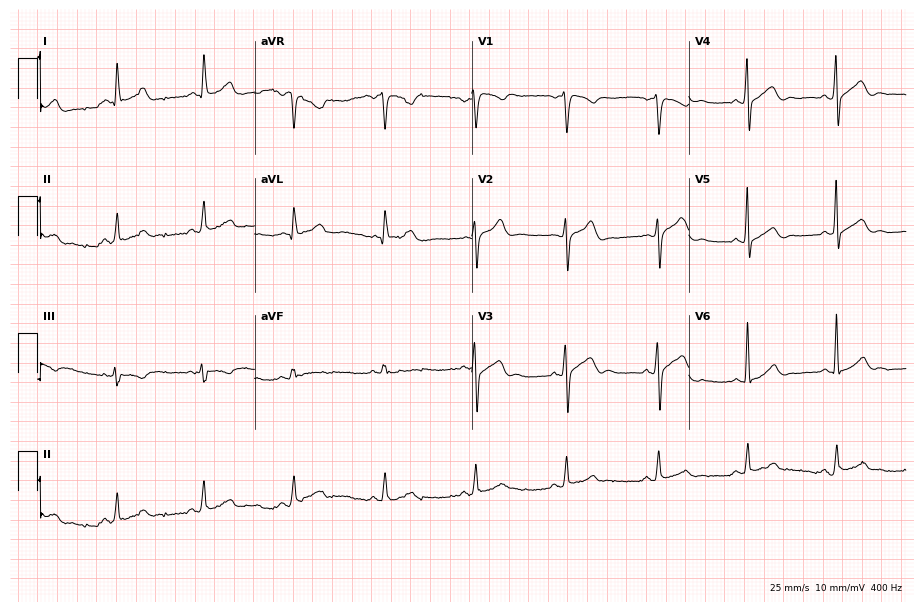
Resting 12-lead electrocardiogram (8.9-second recording at 400 Hz). Patient: a male, 40 years old. Read as a normal ECG.